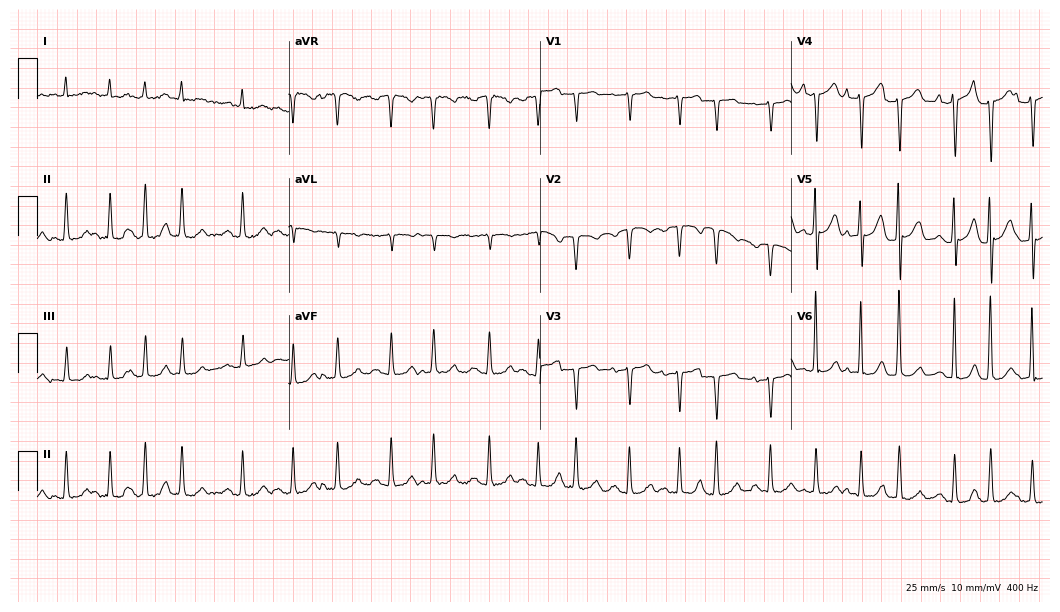
12-lead ECG from a 64-year-old male patient (10.2-second recording at 400 Hz). Shows atrial fibrillation.